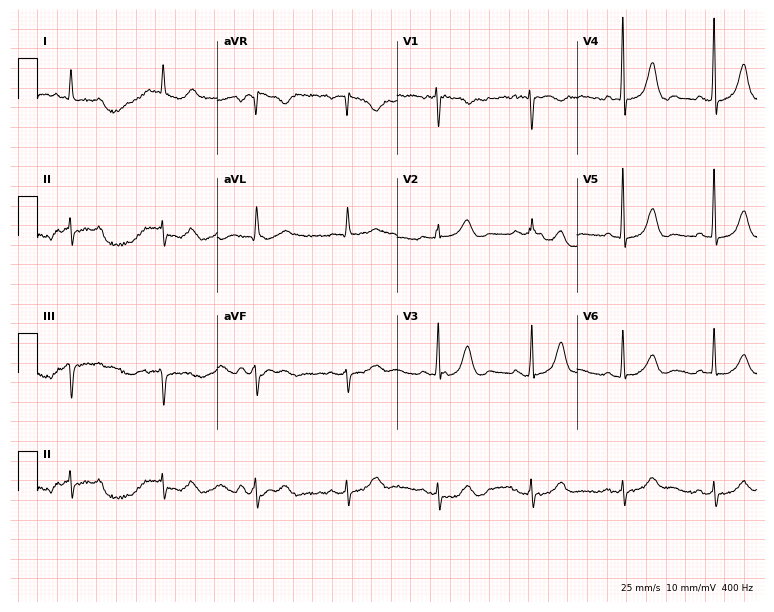
Standard 12-lead ECG recorded from an 83-year-old female (7.3-second recording at 400 Hz). Read as a normal ECG.